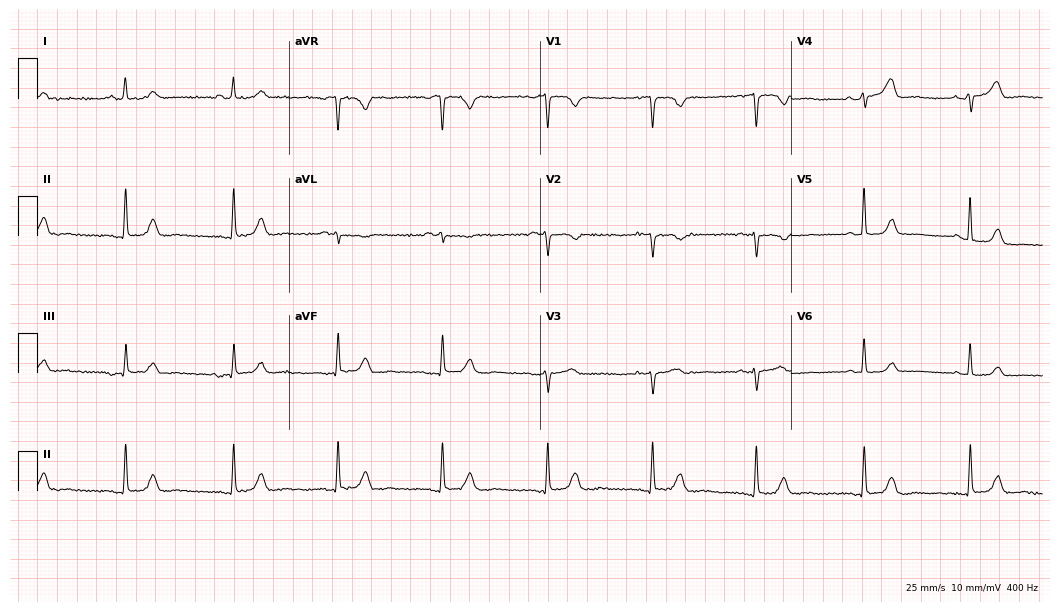
ECG (10.2-second recording at 400 Hz) — a woman, 67 years old. Screened for six findings — first-degree AV block, right bundle branch block (RBBB), left bundle branch block (LBBB), sinus bradycardia, atrial fibrillation (AF), sinus tachycardia — none is recorded. Other findings, if any, are not listed.